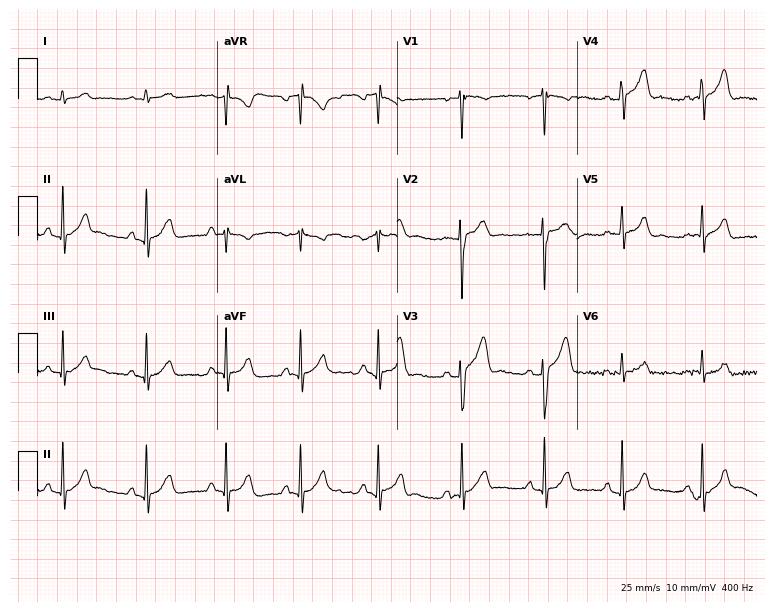
ECG (7.3-second recording at 400 Hz) — a 31-year-old male patient. Labelled as a normal ECG.